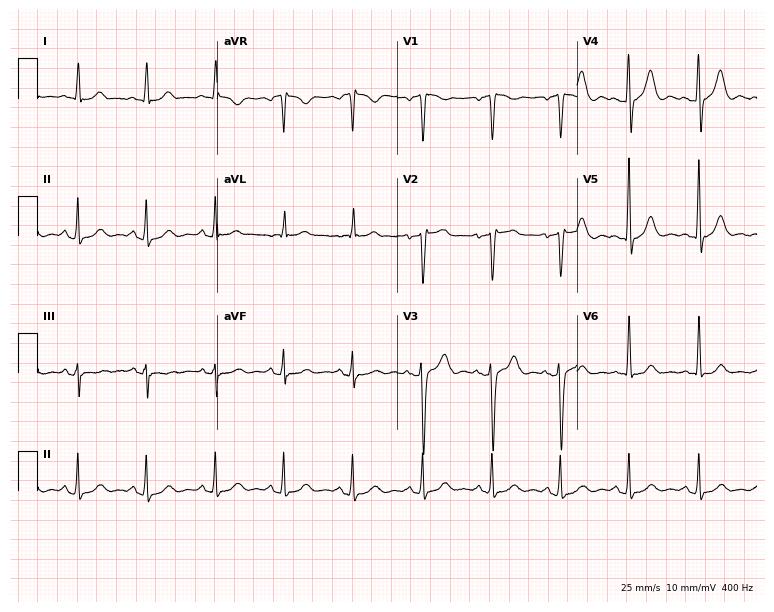
ECG (7.3-second recording at 400 Hz) — a female, 60 years old. Screened for six findings — first-degree AV block, right bundle branch block, left bundle branch block, sinus bradycardia, atrial fibrillation, sinus tachycardia — none is recorded.